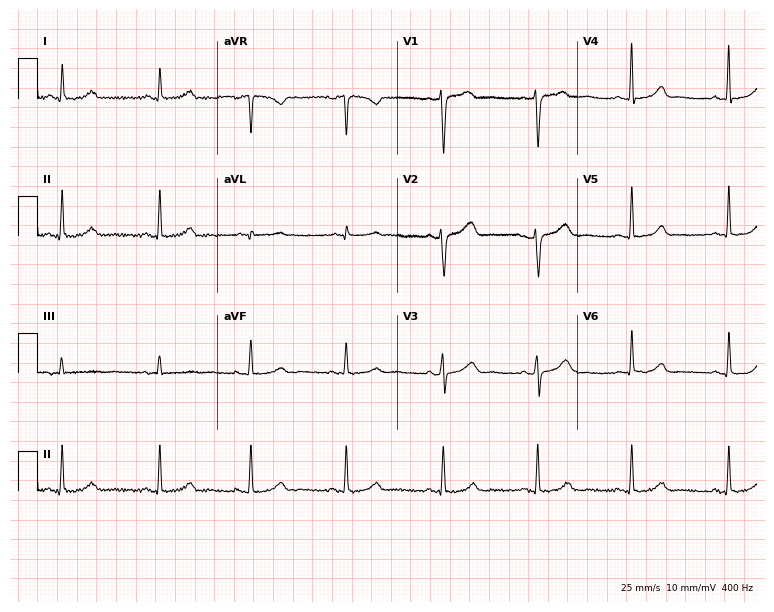
12-lead ECG from a woman, 35 years old. Screened for six findings — first-degree AV block, right bundle branch block, left bundle branch block, sinus bradycardia, atrial fibrillation, sinus tachycardia — none is recorded. Other findings, if any, are not listed.